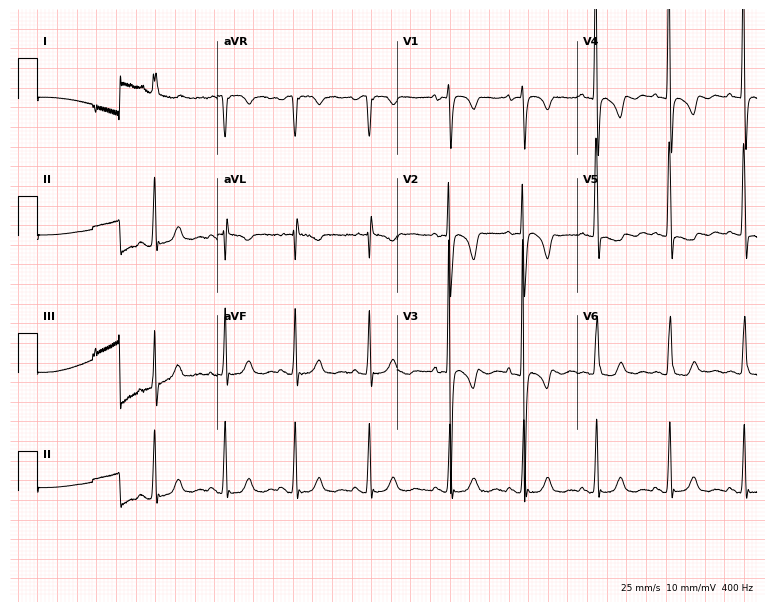
12-lead ECG from a 36-year-old woman. Screened for six findings — first-degree AV block, right bundle branch block, left bundle branch block, sinus bradycardia, atrial fibrillation, sinus tachycardia — none is recorded. Other findings, if any, are not listed.